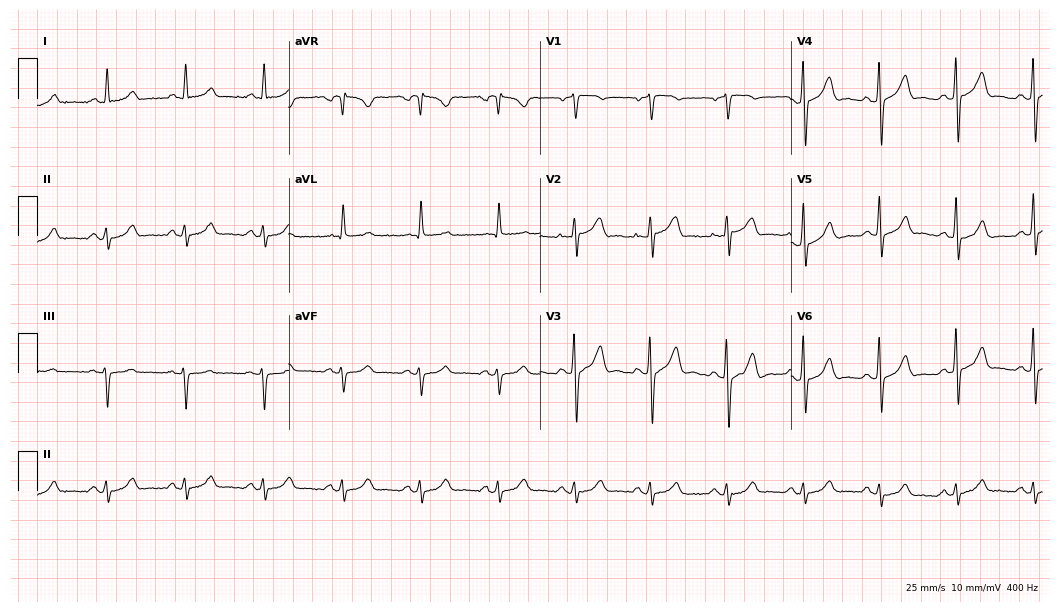
Standard 12-lead ECG recorded from a 76-year-old male (10.2-second recording at 400 Hz). Read as a normal ECG.